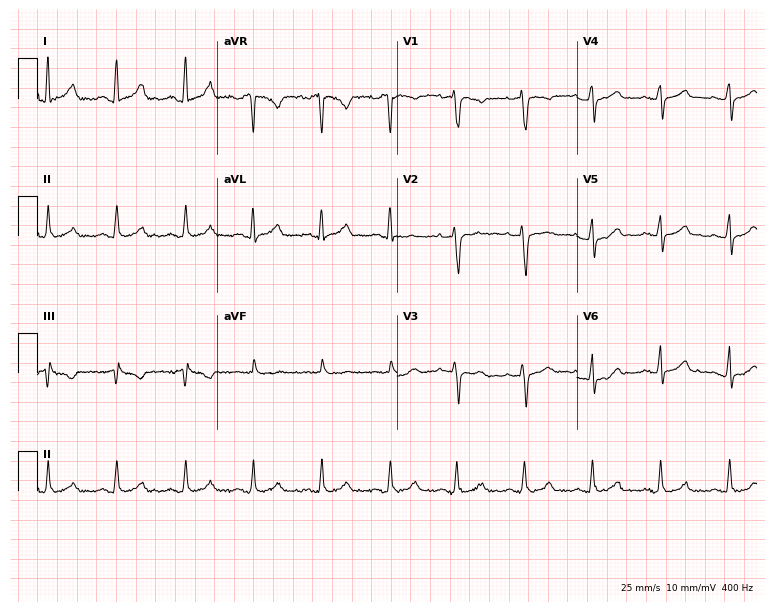
12-lead ECG from a female, 30 years old. Recorded interpretation: within normal limits.